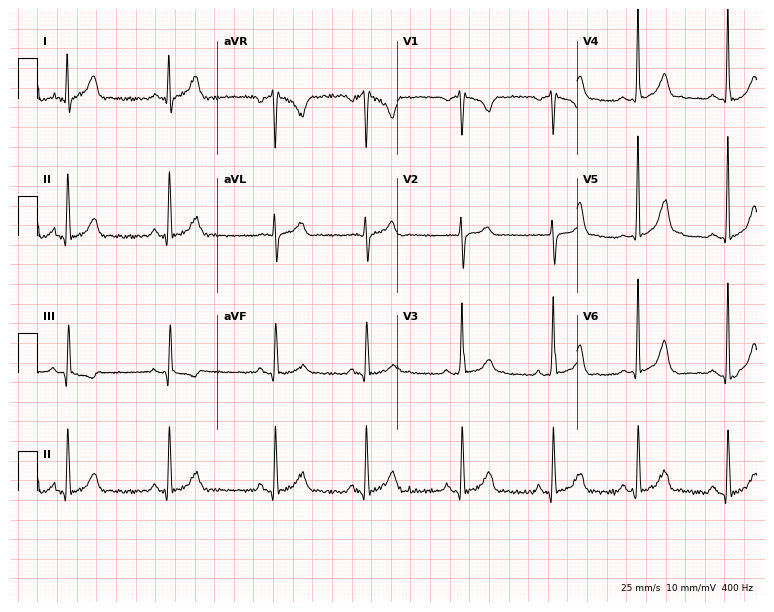
Electrocardiogram (7.3-second recording at 400 Hz), a 22-year-old female patient. Overall reading on record: normal ECG.